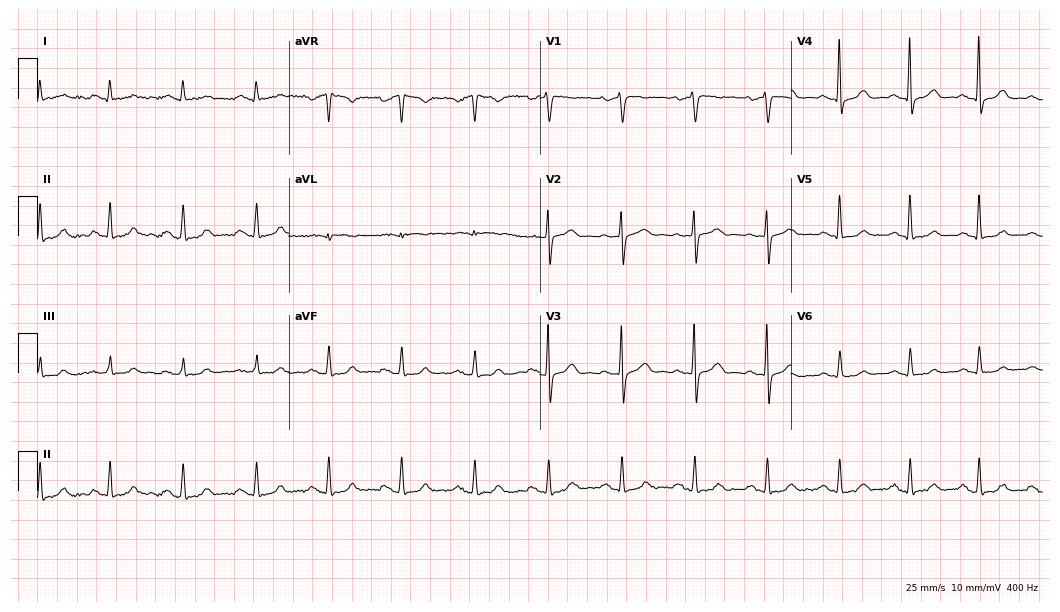
Electrocardiogram (10.2-second recording at 400 Hz), a man, 71 years old. Of the six screened findings (first-degree AV block, right bundle branch block, left bundle branch block, sinus bradycardia, atrial fibrillation, sinus tachycardia), none is recorded.